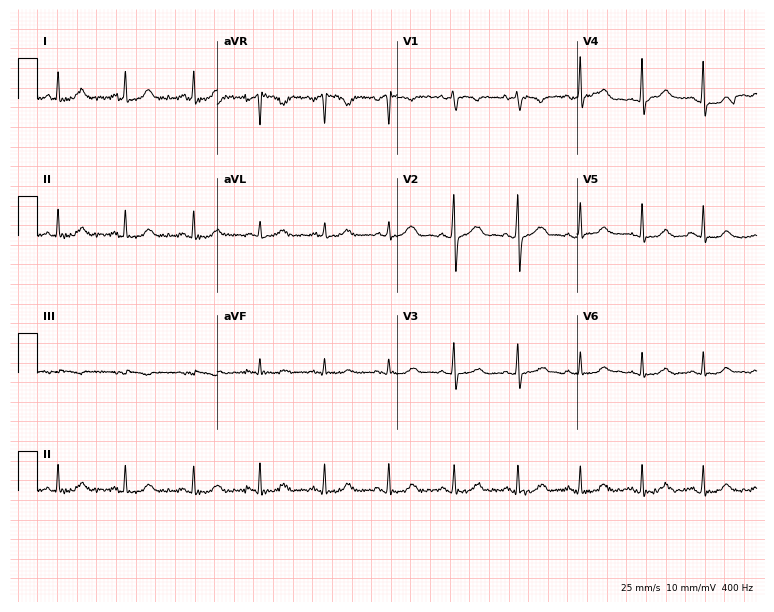
Electrocardiogram, a 27-year-old female patient. Overall reading on record: normal ECG.